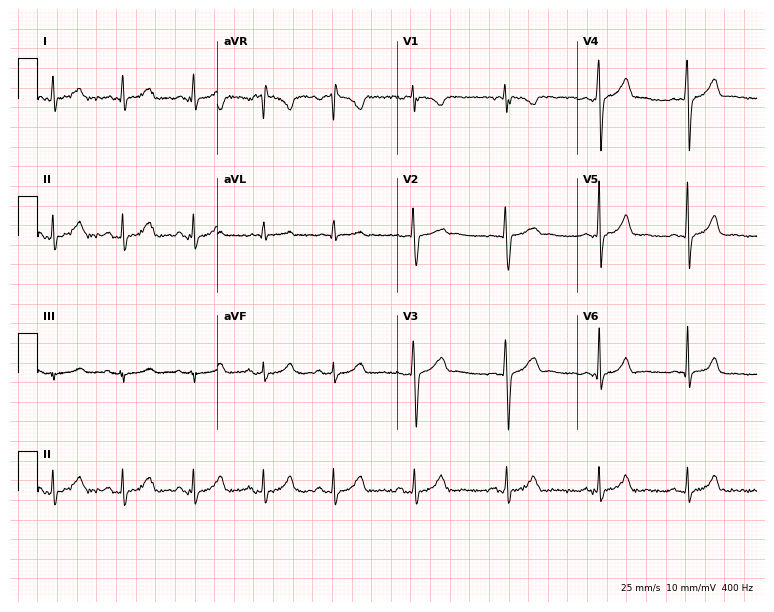
Standard 12-lead ECG recorded from a female, 25 years old (7.3-second recording at 400 Hz). None of these six findings is recorded: first-degree AV block, right bundle branch block (RBBB), left bundle branch block (LBBB), sinus bradycardia, atrial fibrillation (AF), sinus tachycardia.